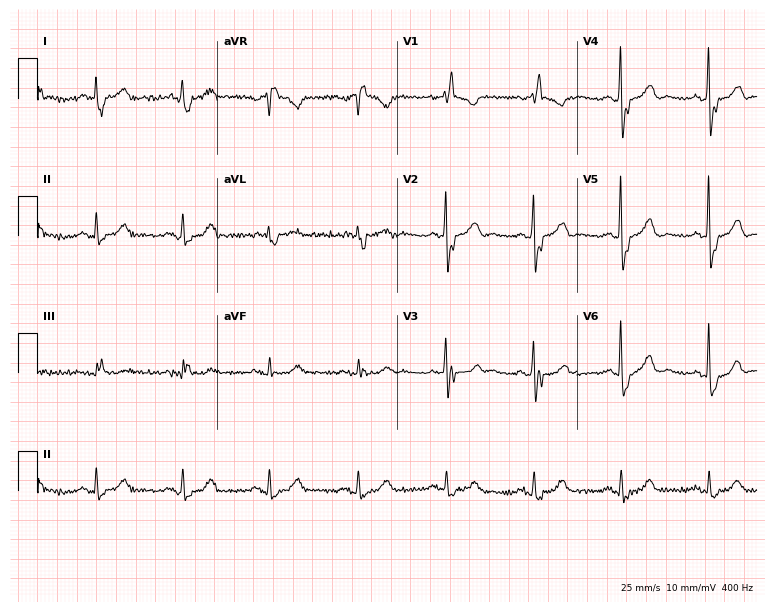
Resting 12-lead electrocardiogram (7.3-second recording at 400 Hz). Patient: a 77-year-old female. None of these six findings is recorded: first-degree AV block, right bundle branch block, left bundle branch block, sinus bradycardia, atrial fibrillation, sinus tachycardia.